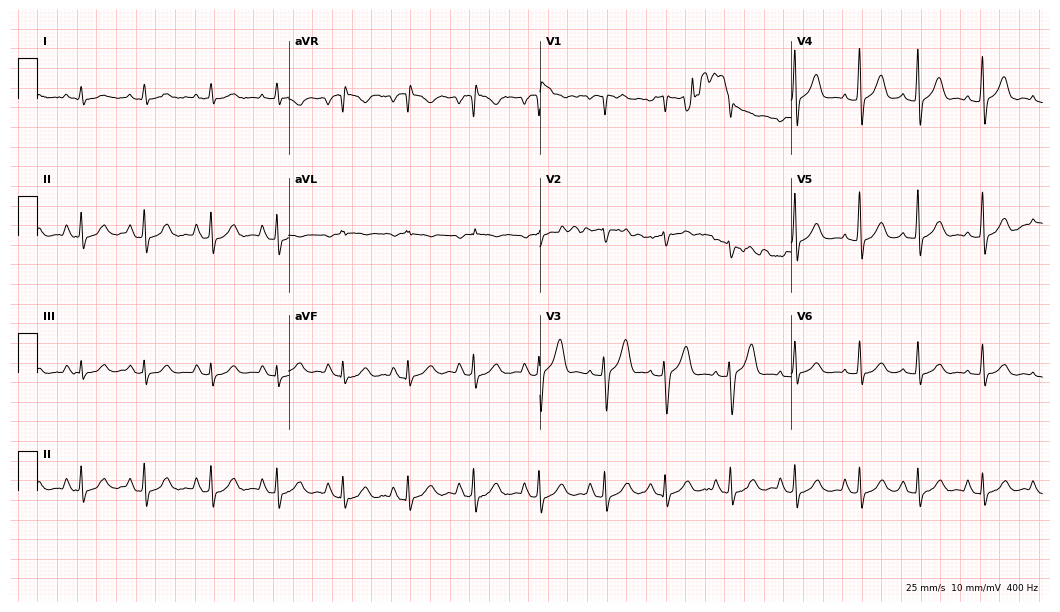
12-lead ECG (10.2-second recording at 400 Hz) from a 75-year-old man. Screened for six findings — first-degree AV block, right bundle branch block, left bundle branch block, sinus bradycardia, atrial fibrillation, sinus tachycardia — none is recorded.